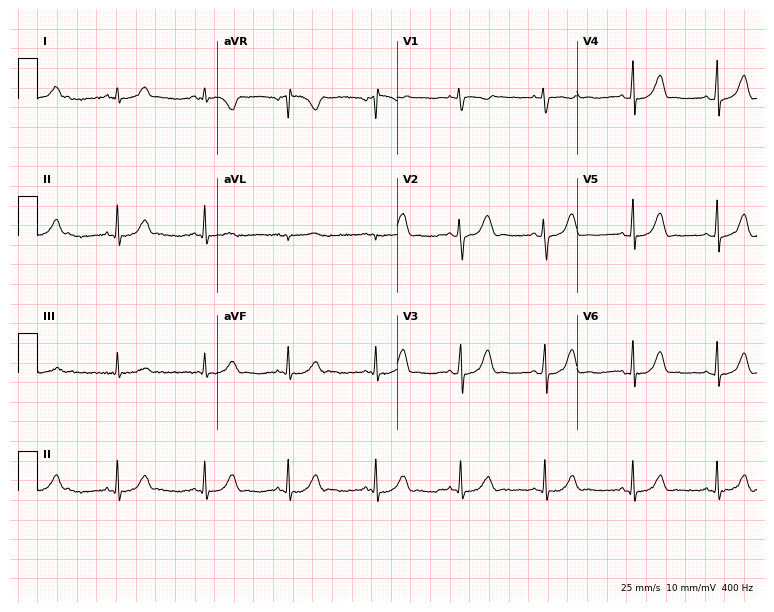
Resting 12-lead electrocardiogram (7.3-second recording at 400 Hz). Patient: a female, 17 years old. Read as a normal ECG.